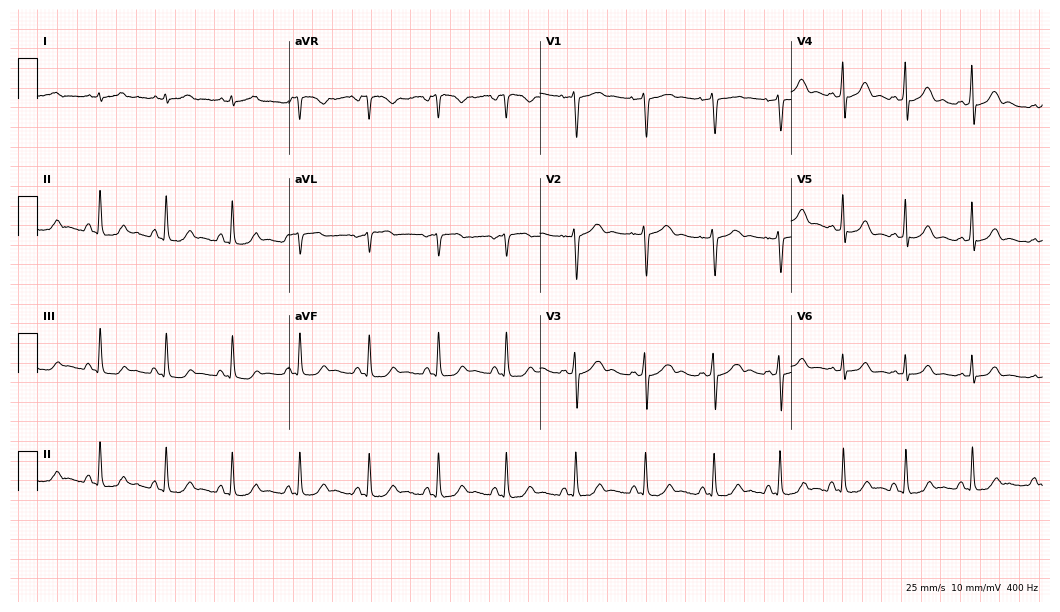
12-lead ECG from a 27-year-old female patient. Screened for six findings — first-degree AV block, right bundle branch block (RBBB), left bundle branch block (LBBB), sinus bradycardia, atrial fibrillation (AF), sinus tachycardia — none is recorded. Findings outside these six are not listed.